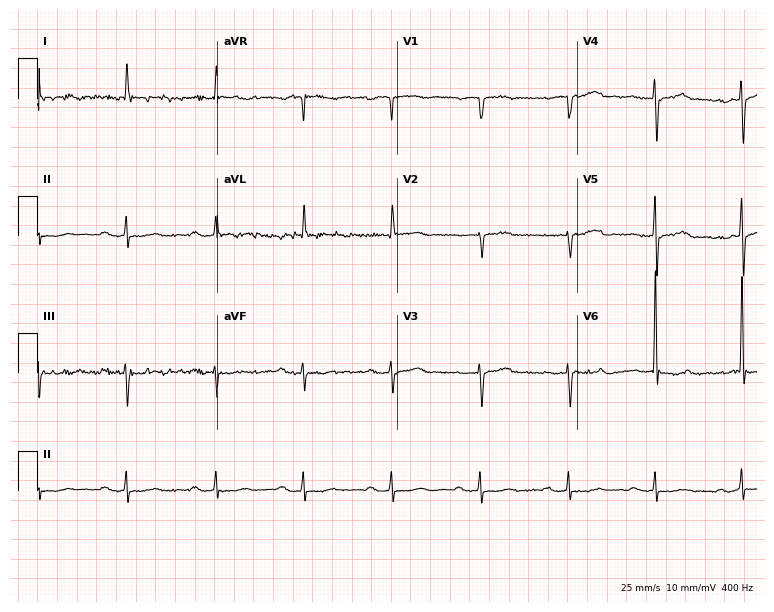
12-lead ECG from a male, 77 years old. Shows first-degree AV block.